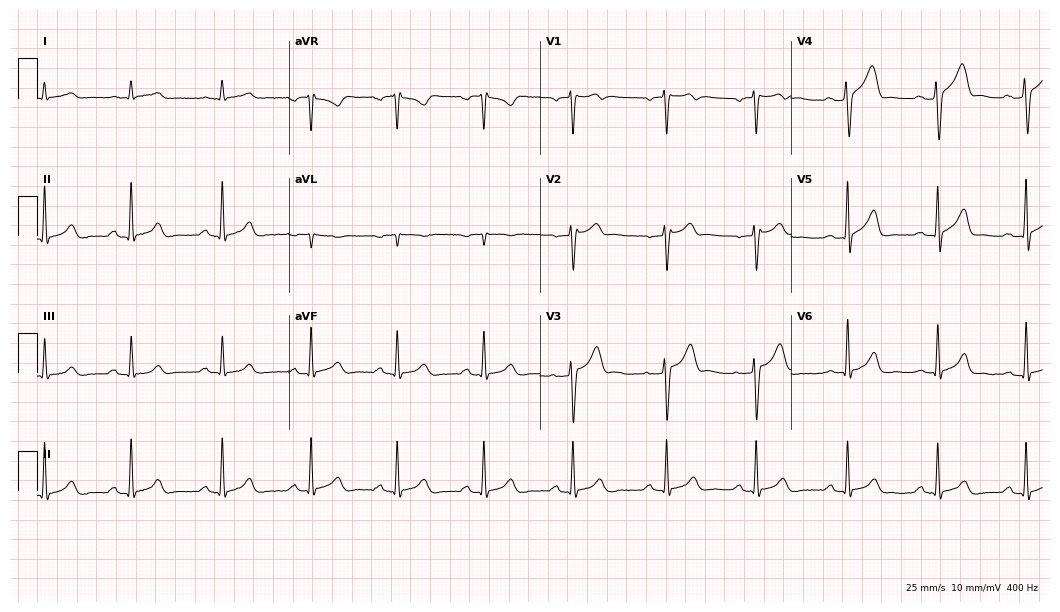
Standard 12-lead ECG recorded from a man, 63 years old. Read as a normal ECG.